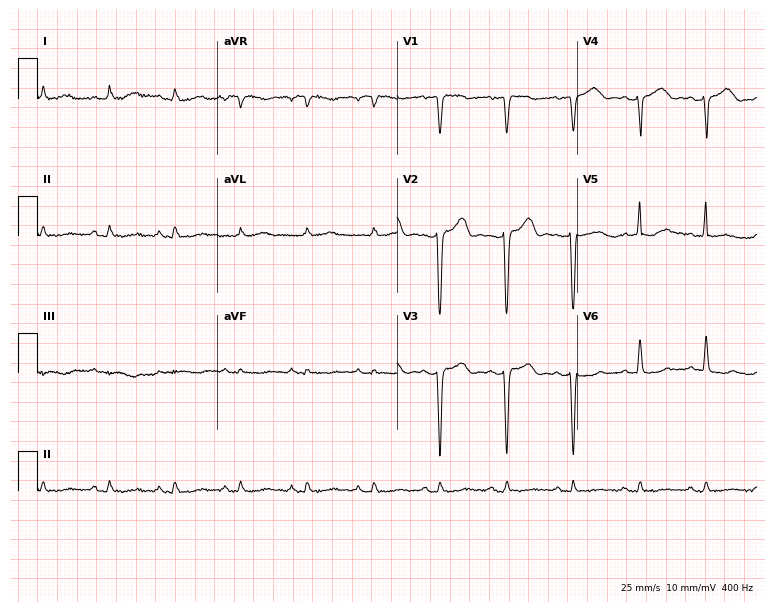
ECG — a woman, 81 years old. Screened for six findings — first-degree AV block, right bundle branch block (RBBB), left bundle branch block (LBBB), sinus bradycardia, atrial fibrillation (AF), sinus tachycardia — none is recorded. Only these six findings were labelled.